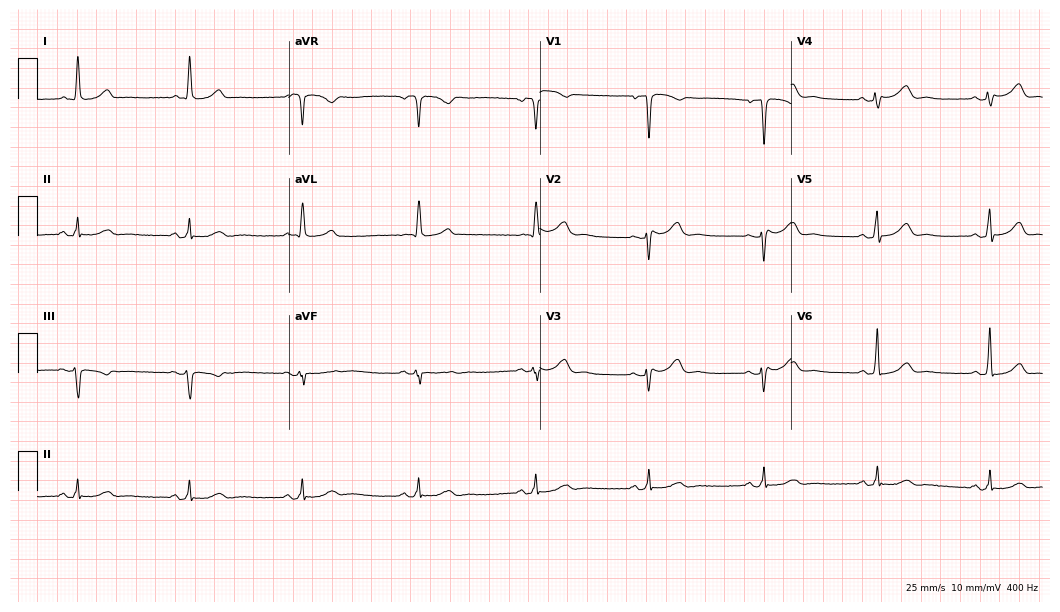
12-lead ECG from a 66-year-old woman (10.2-second recording at 400 Hz). Recorded interpretation: within normal limits.